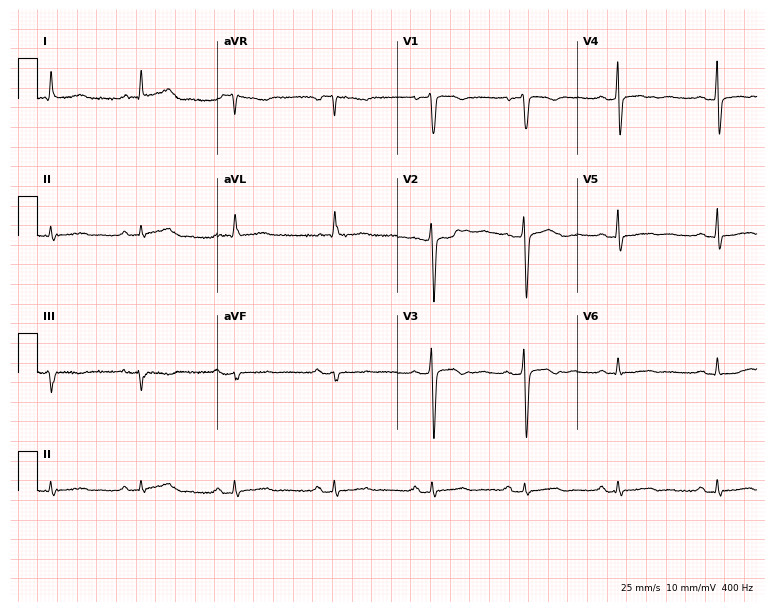
Resting 12-lead electrocardiogram. Patient: a 63-year-old female. None of these six findings is recorded: first-degree AV block, right bundle branch block, left bundle branch block, sinus bradycardia, atrial fibrillation, sinus tachycardia. Other findings, if any, are not listed.